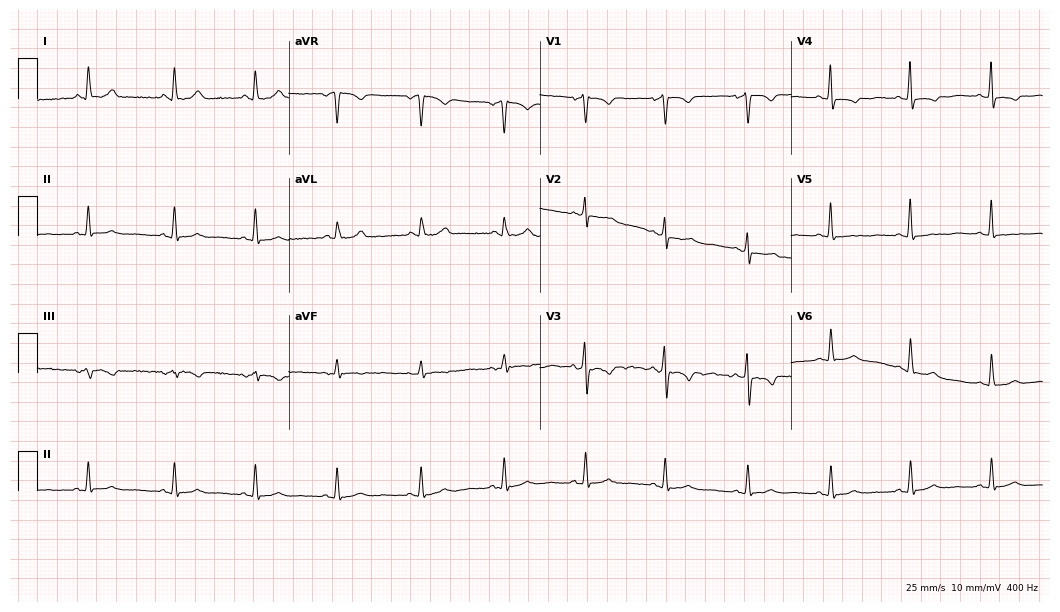
Standard 12-lead ECG recorded from a 59-year-old female patient (10.2-second recording at 400 Hz). None of these six findings is recorded: first-degree AV block, right bundle branch block, left bundle branch block, sinus bradycardia, atrial fibrillation, sinus tachycardia.